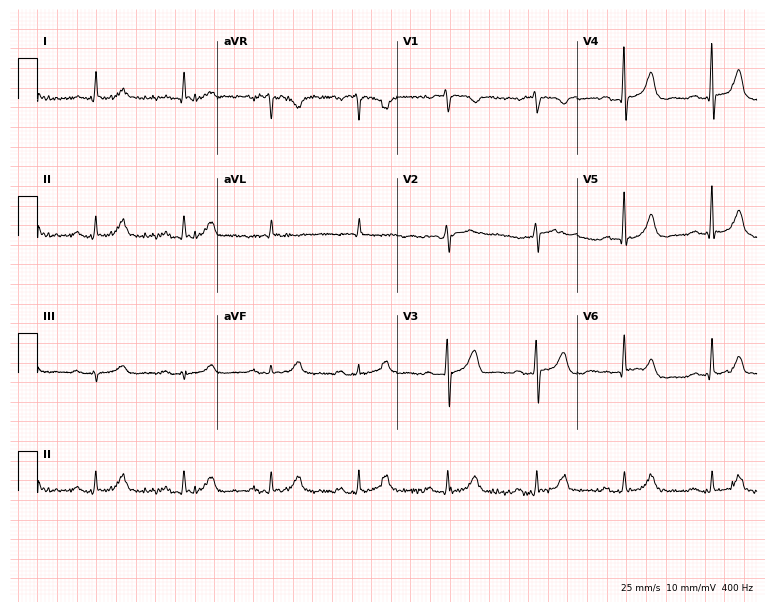
12-lead ECG (7.3-second recording at 400 Hz) from a female patient, 84 years old. Labelled as a normal ECG.